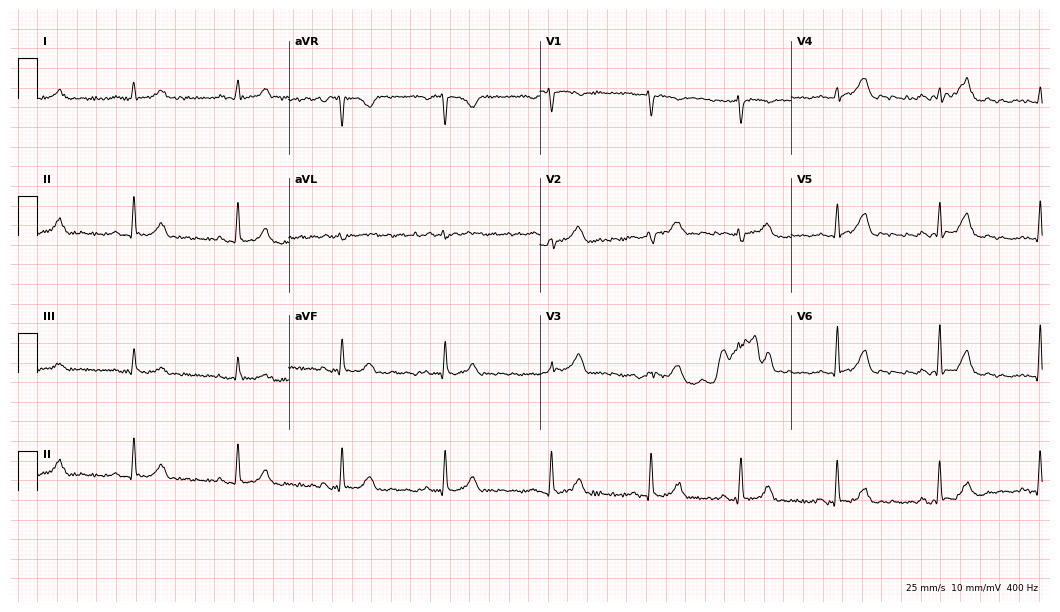
Electrocardiogram, a female, 31 years old. Of the six screened findings (first-degree AV block, right bundle branch block (RBBB), left bundle branch block (LBBB), sinus bradycardia, atrial fibrillation (AF), sinus tachycardia), none is recorded. Only these six findings were labelled.